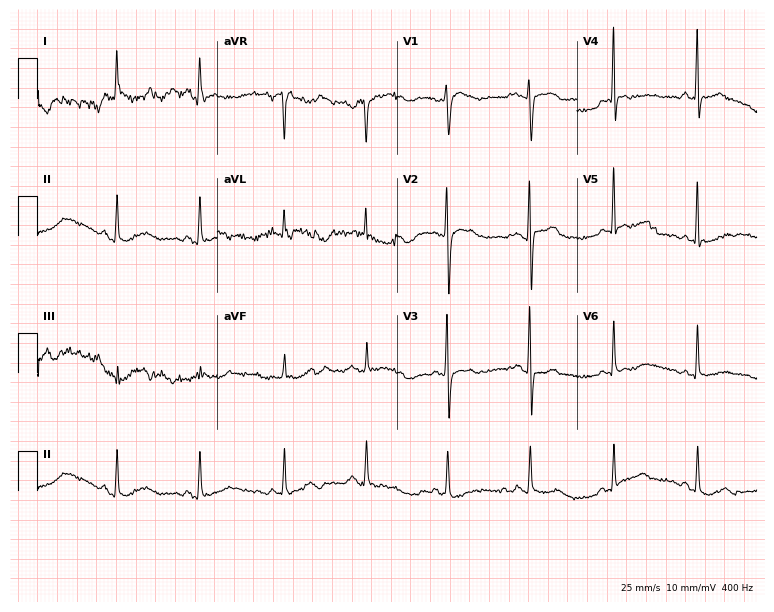
Electrocardiogram, a woman, 66 years old. Overall reading on record: normal ECG.